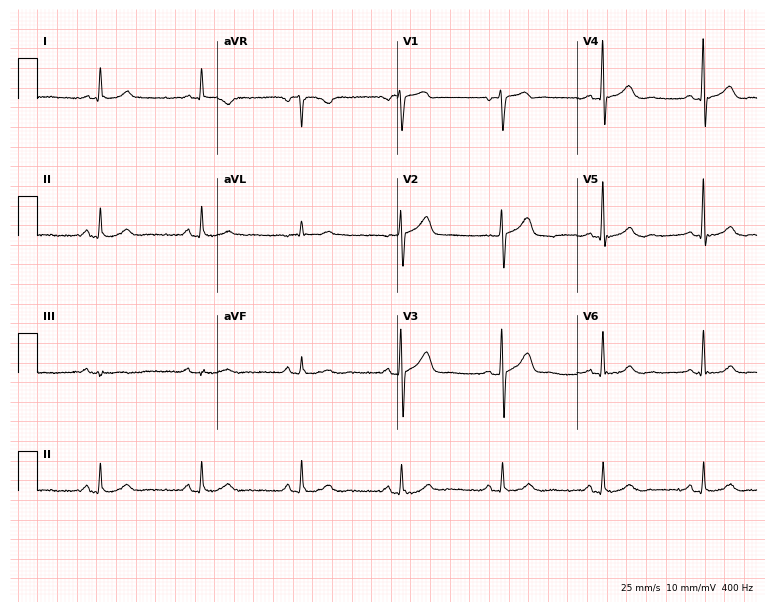
Standard 12-lead ECG recorded from a 74-year-old man. None of these six findings is recorded: first-degree AV block, right bundle branch block, left bundle branch block, sinus bradycardia, atrial fibrillation, sinus tachycardia.